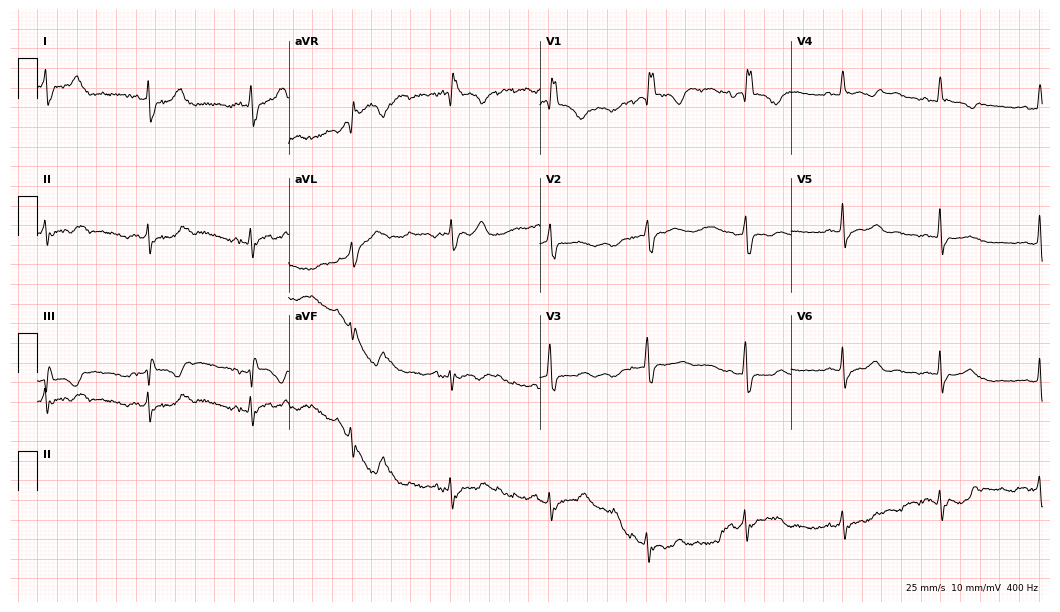
Electrocardiogram, a 79-year-old woman. Of the six screened findings (first-degree AV block, right bundle branch block, left bundle branch block, sinus bradycardia, atrial fibrillation, sinus tachycardia), none is recorded. Findings outside these six are not listed.